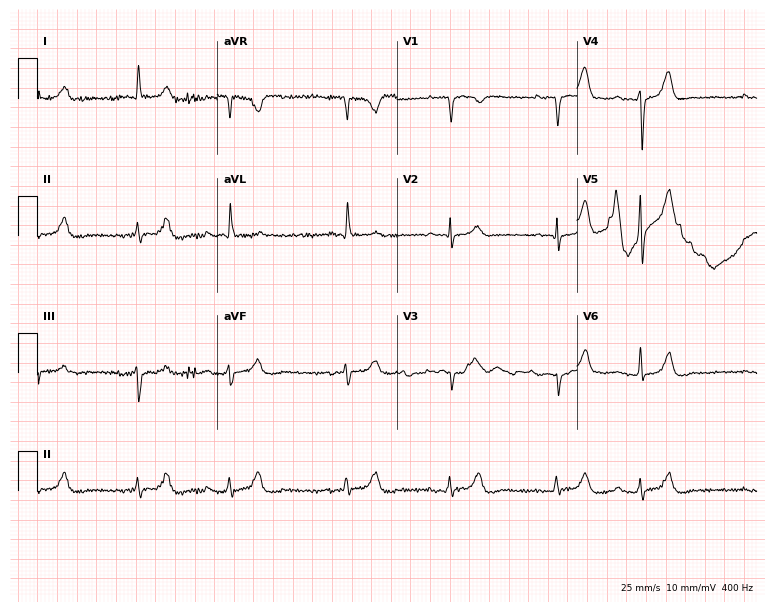
12-lead ECG from an 83-year-old male. Shows atrial fibrillation.